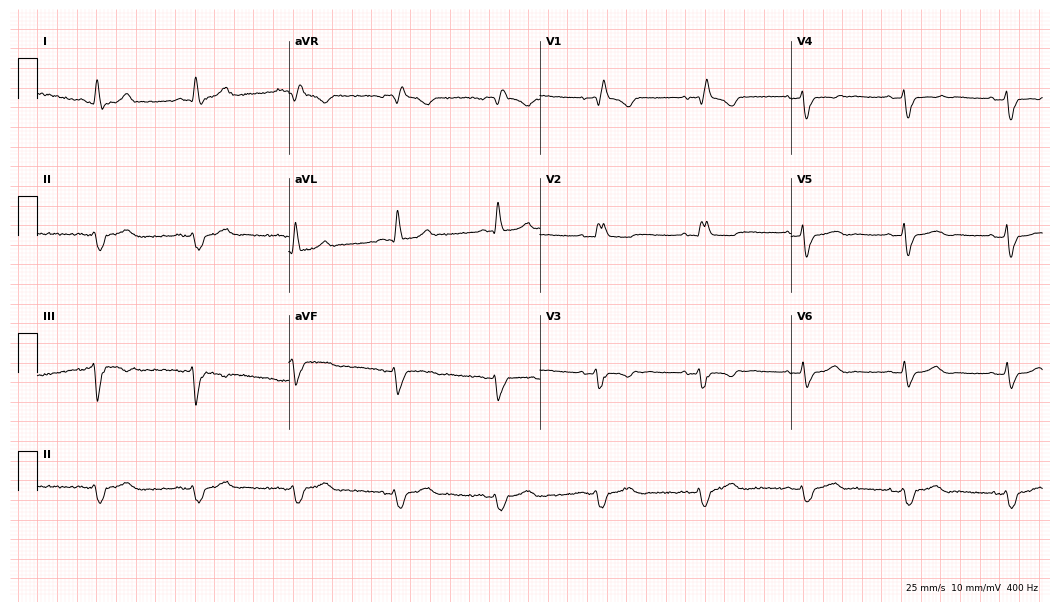
ECG — a 60-year-old woman. Findings include right bundle branch block.